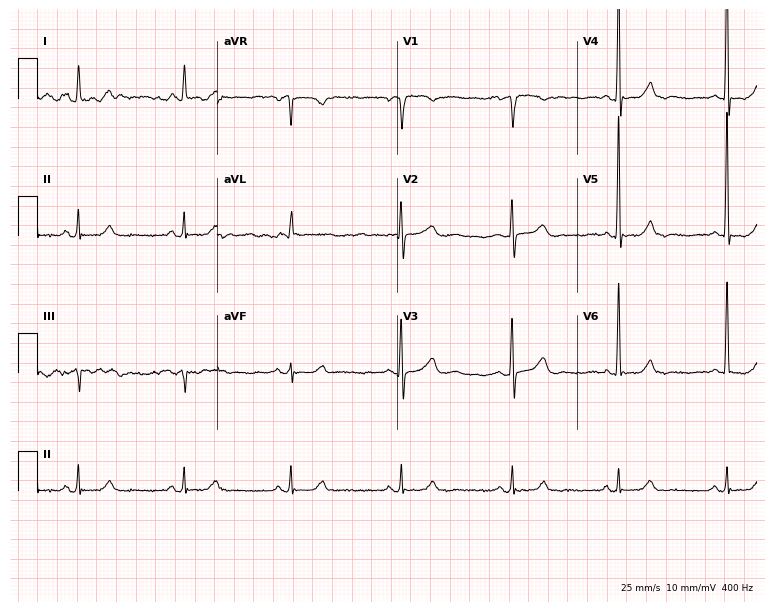
Electrocardiogram (7.3-second recording at 400 Hz), a female patient, 77 years old. Of the six screened findings (first-degree AV block, right bundle branch block (RBBB), left bundle branch block (LBBB), sinus bradycardia, atrial fibrillation (AF), sinus tachycardia), none is recorded.